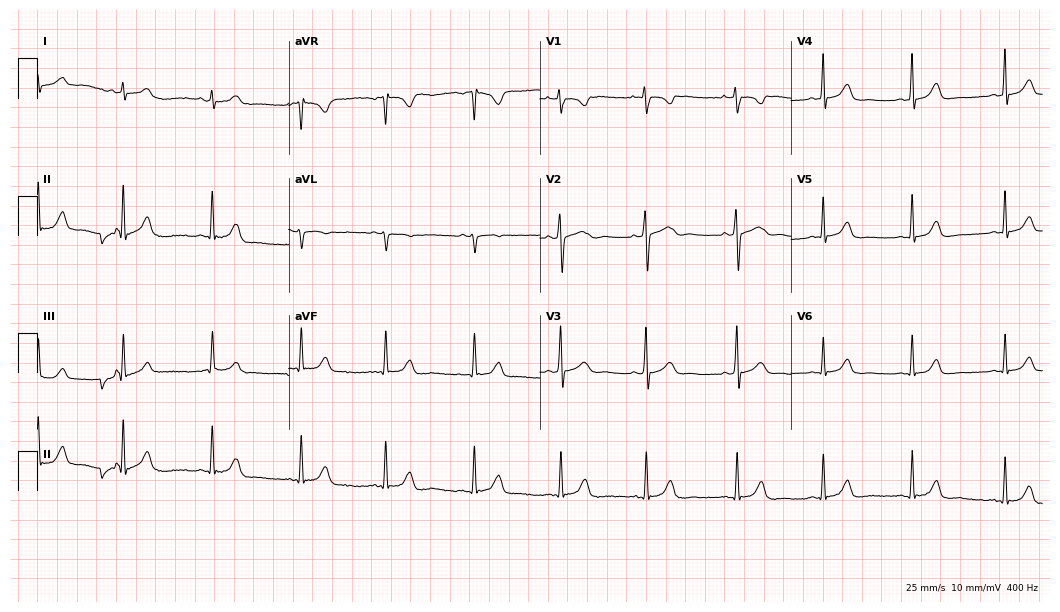
Resting 12-lead electrocardiogram. Patient: a 28-year-old female. Read as a normal ECG.